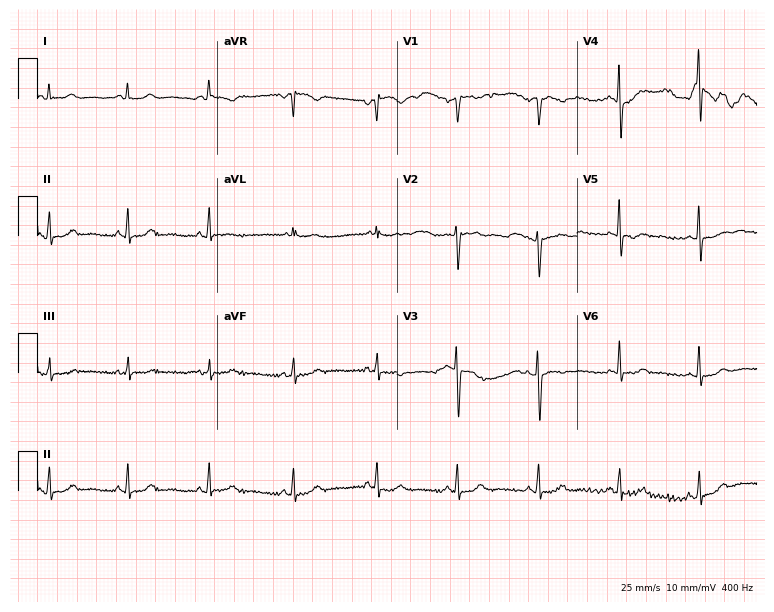
12-lead ECG from a female, 47 years old. No first-degree AV block, right bundle branch block, left bundle branch block, sinus bradycardia, atrial fibrillation or sinus tachycardia recorded for this tracing.